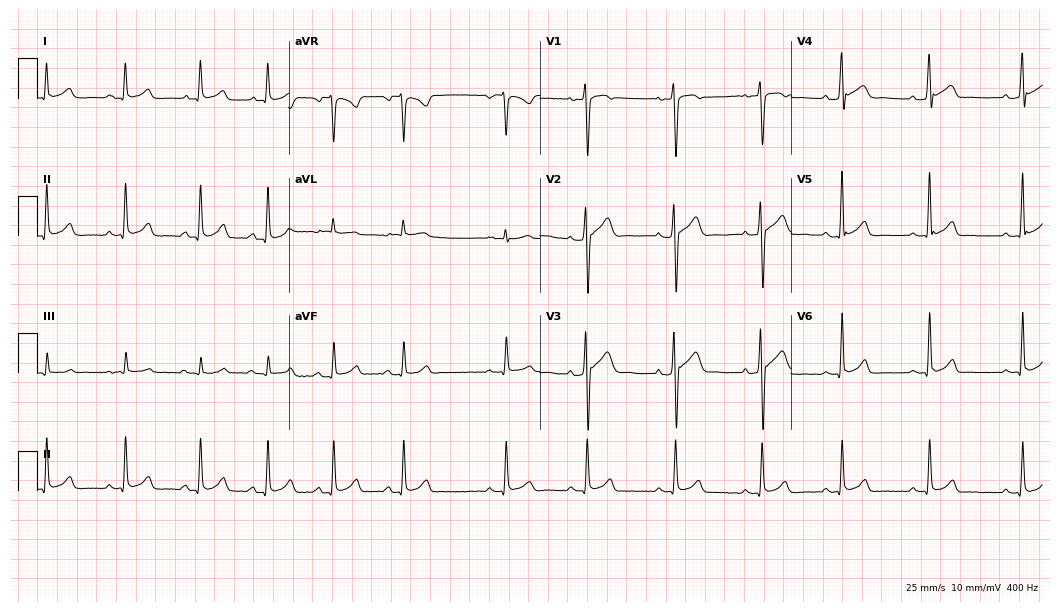
Resting 12-lead electrocardiogram (10.2-second recording at 400 Hz). Patient: a male, 32 years old. Read as a normal ECG.